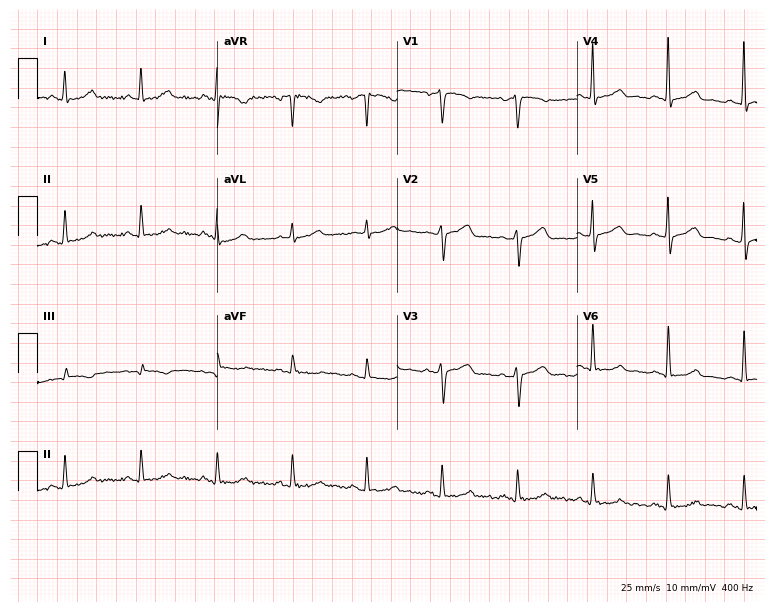
Standard 12-lead ECG recorded from a female patient, 55 years old. None of these six findings is recorded: first-degree AV block, right bundle branch block, left bundle branch block, sinus bradycardia, atrial fibrillation, sinus tachycardia. Other findings, if any, are not listed.